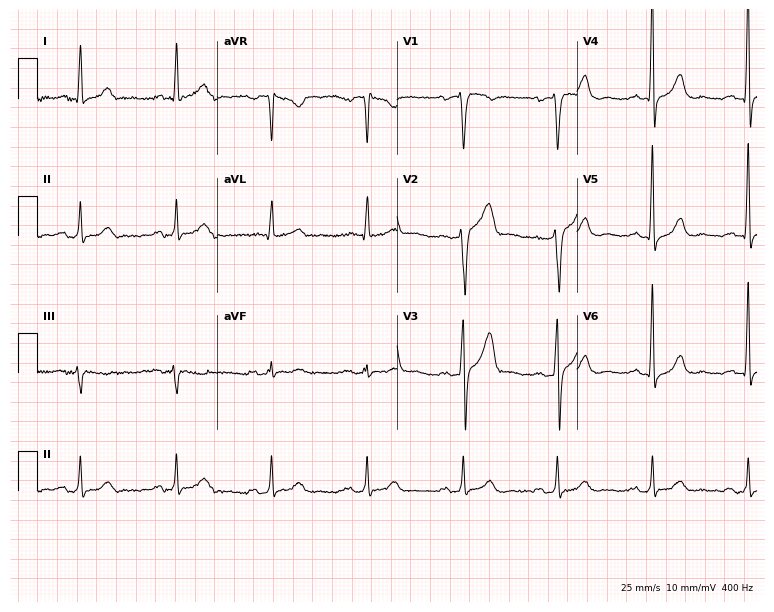
12-lead ECG from a 62-year-old male patient. Labelled as a normal ECG.